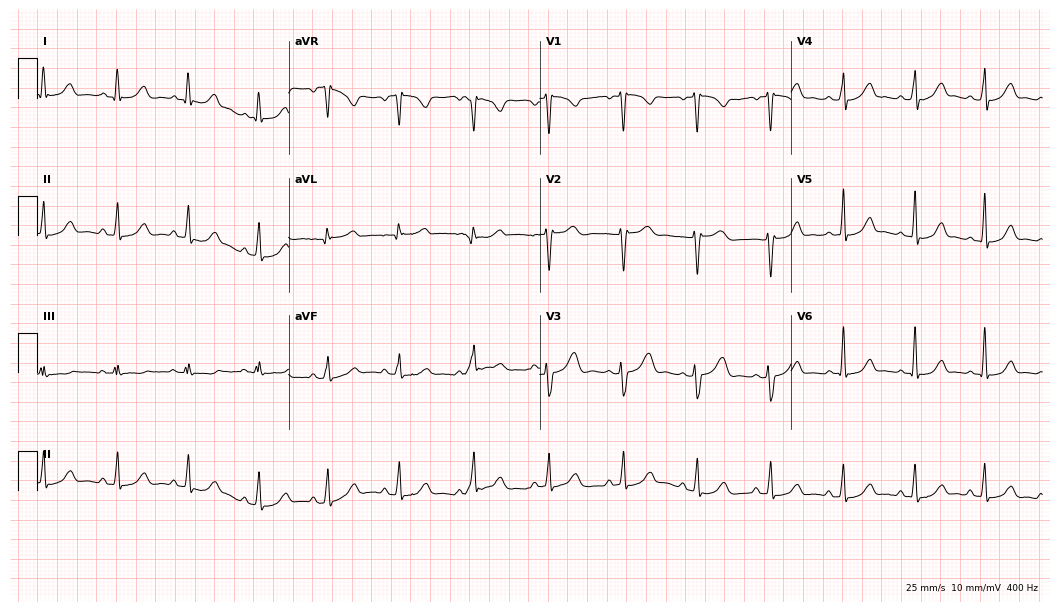
Standard 12-lead ECG recorded from a 25-year-old woman (10.2-second recording at 400 Hz). Read as a normal ECG.